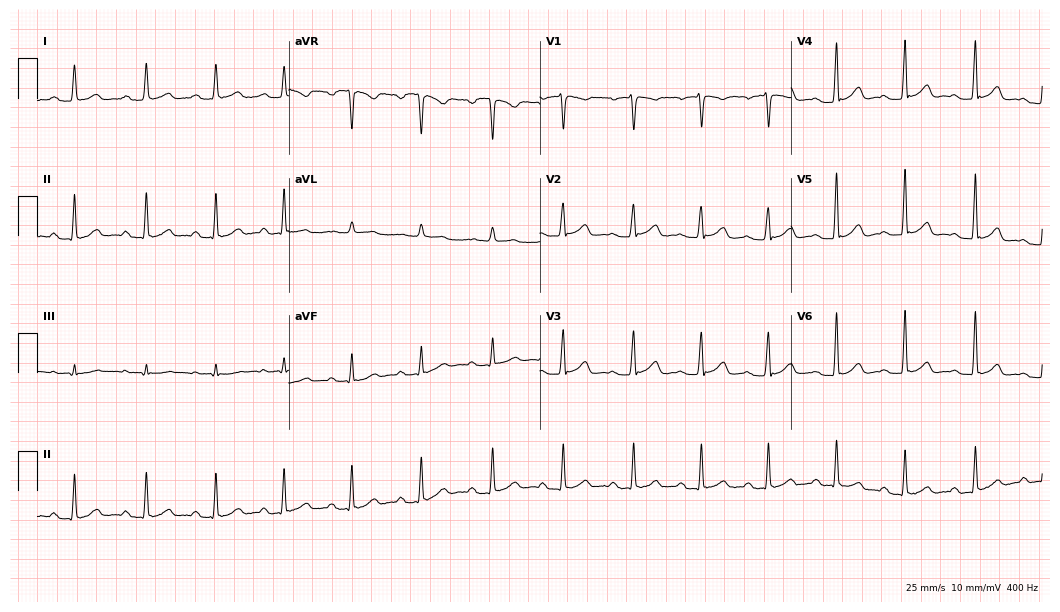
12-lead ECG from a 33-year-old female (10.2-second recording at 400 Hz). Shows first-degree AV block.